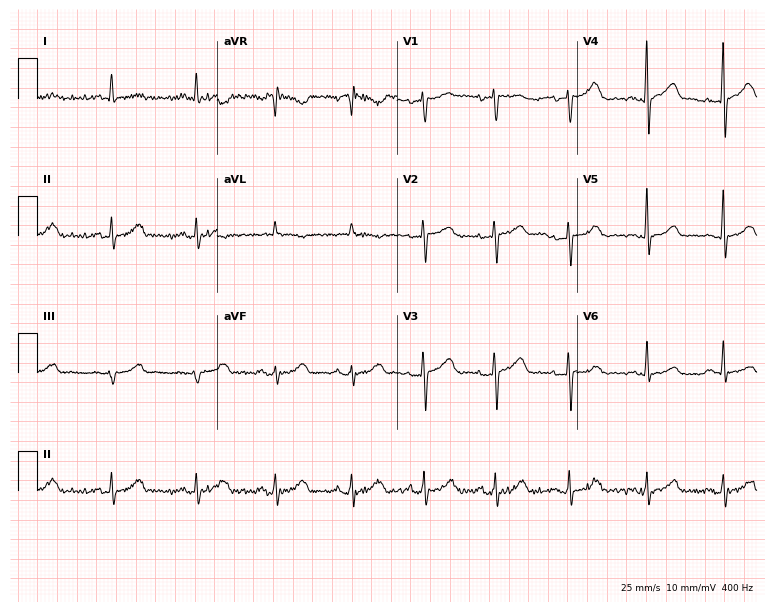
Standard 12-lead ECG recorded from a female patient, 77 years old (7.3-second recording at 400 Hz). Read as a normal ECG.